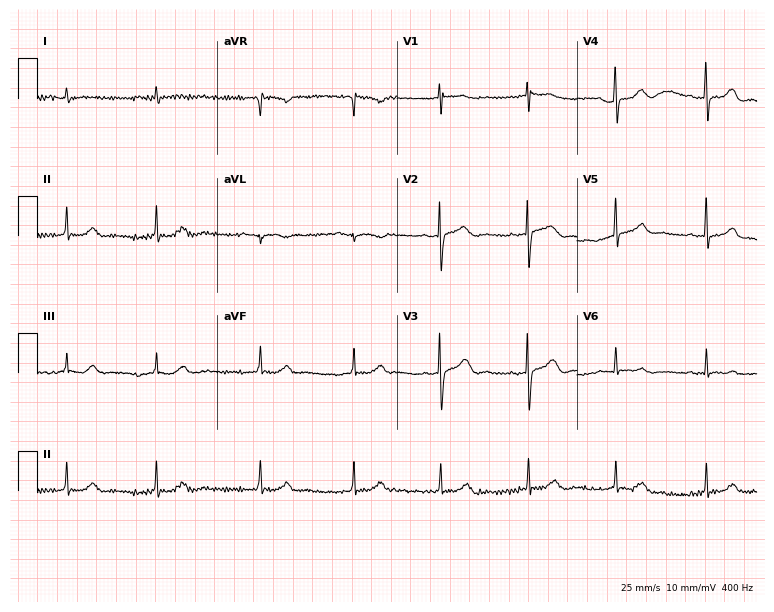
Electrocardiogram, a 27-year-old male patient. Overall reading on record: normal ECG.